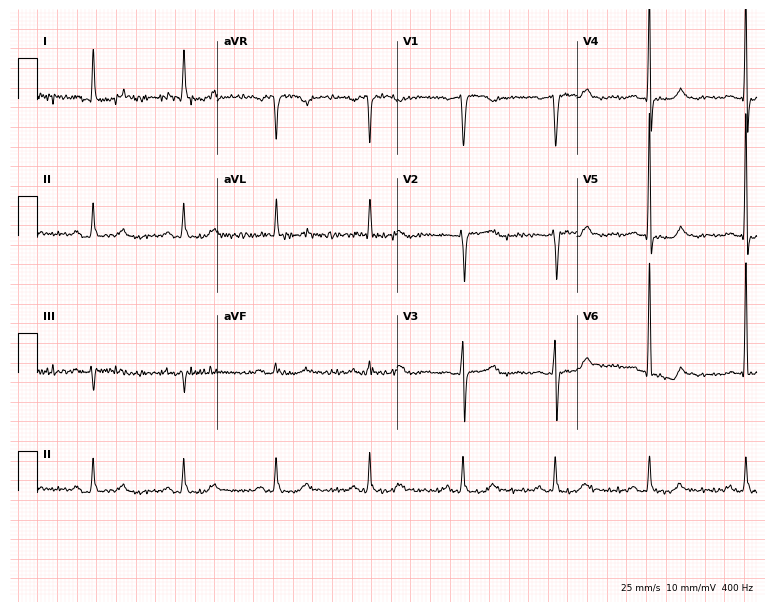
12-lead ECG from a 72-year-old woman (7.3-second recording at 400 Hz). Recorded interpretation: within normal limits.